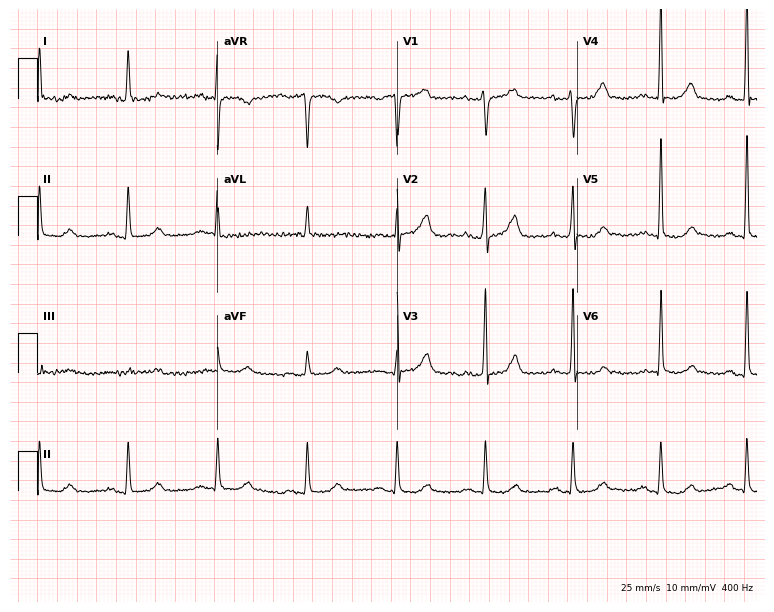
Electrocardiogram, a 65-year-old female. Of the six screened findings (first-degree AV block, right bundle branch block, left bundle branch block, sinus bradycardia, atrial fibrillation, sinus tachycardia), none is recorded. Other findings, if any, are not listed.